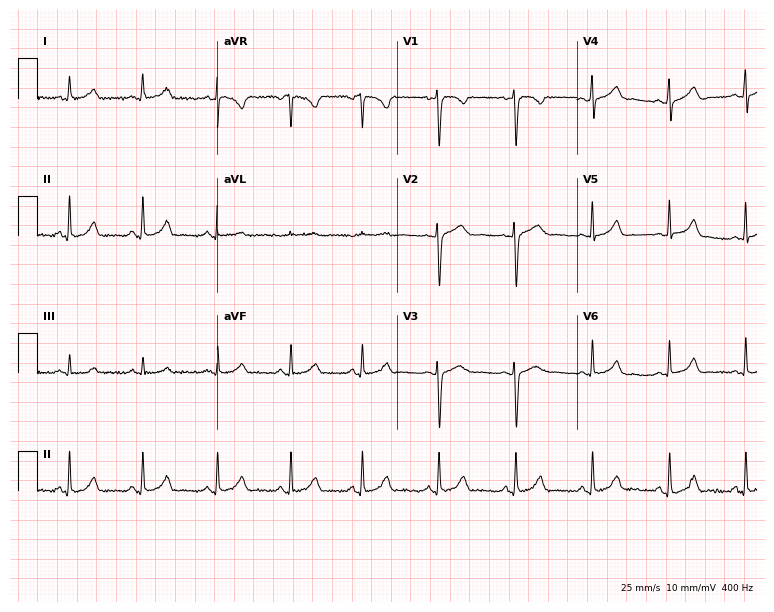
Standard 12-lead ECG recorded from a female patient, 18 years old. None of these six findings is recorded: first-degree AV block, right bundle branch block, left bundle branch block, sinus bradycardia, atrial fibrillation, sinus tachycardia.